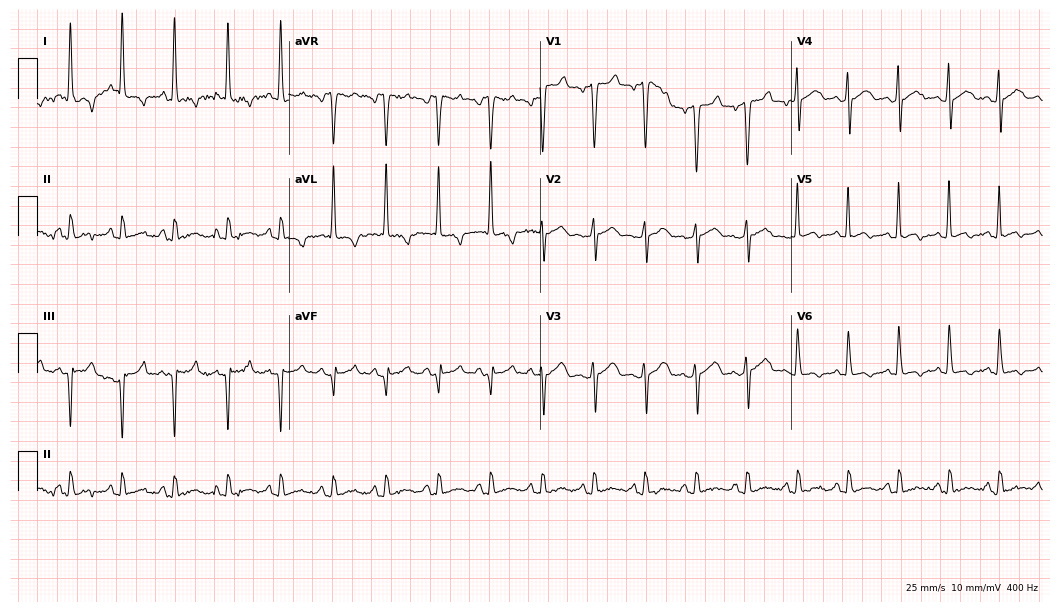
Resting 12-lead electrocardiogram (10.2-second recording at 400 Hz). Patient: a male, 43 years old. The tracing shows sinus tachycardia (a sinus rate of 100 beats per minute or more).